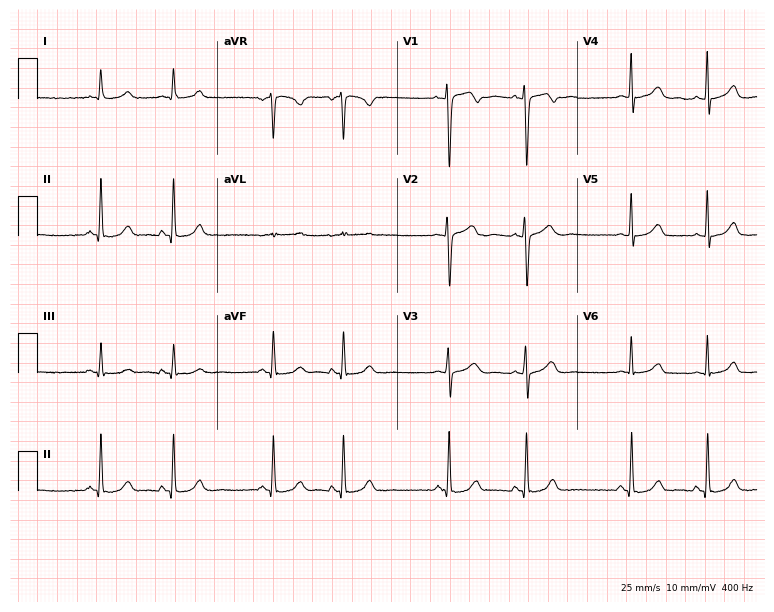
12-lead ECG from a 31-year-old female. Screened for six findings — first-degree AV block, right bundle branch block, left bundle branch block, sinus bradycardia, atrial fibrillation, sinus tachycardia — none is recorded.